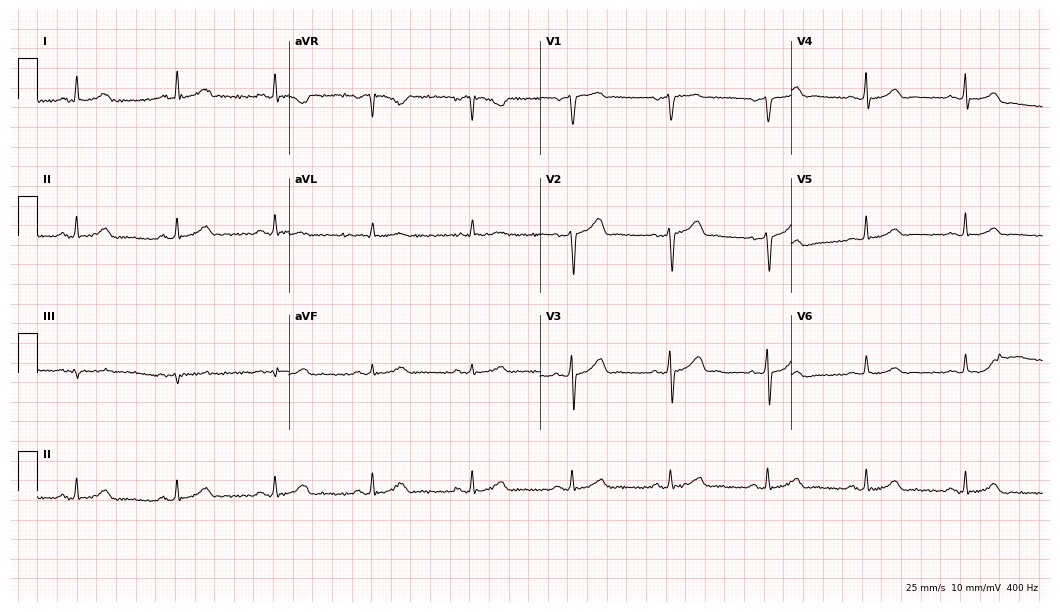
Standard 12-lead ECG recorded from a female patient, 52 years old (10.2-second recording at 400 Hz). Read as a normal ECG.